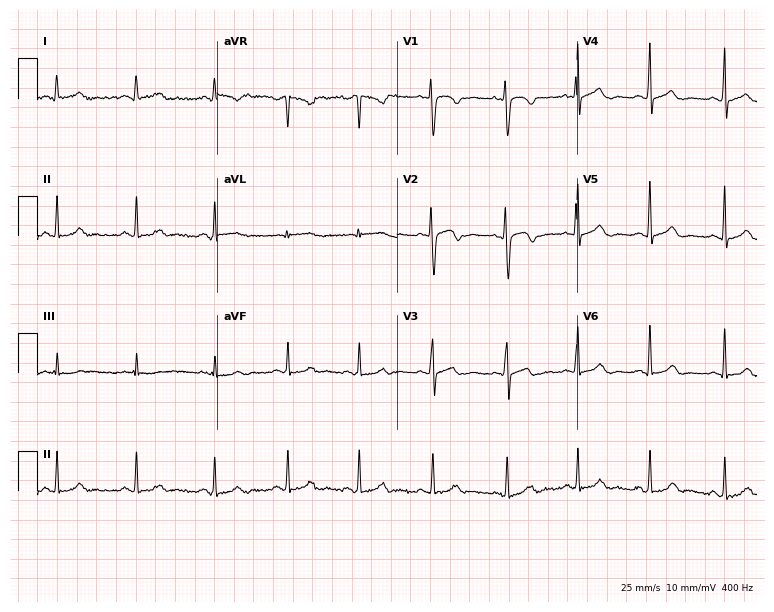
Resting 12-lead electrocardiogram (7.3-second recording at 400 Hz). Patient: a 26-year-old female. Read as a normal ECG.